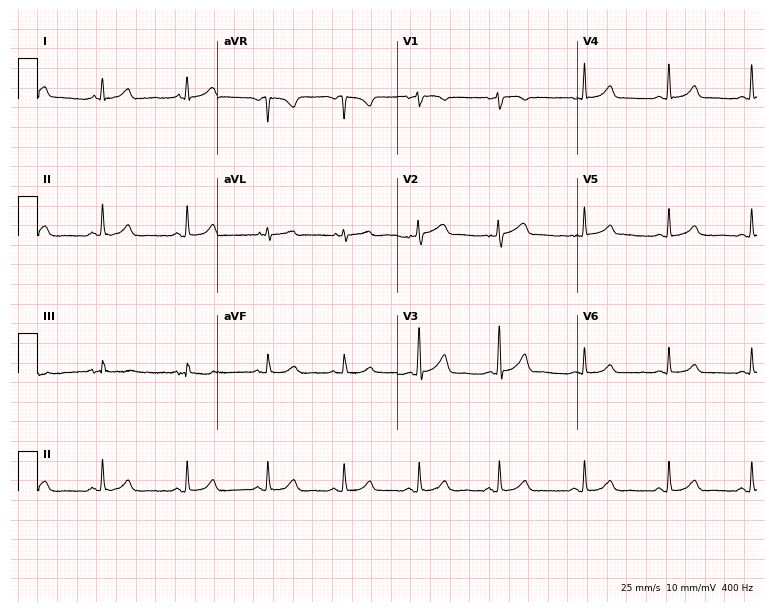
Electrocardiogram (7.3-second recording at 400 Hz), a 39-year-old female. Of the six screened findings (first-degree AV block, right bundle branch block (RBBB), left bundle branch block (LBBB), sinus bradycardia, atrial fibrillation (AF), sinus tachycardia), none is recorded. Findings outside these six are not listed.